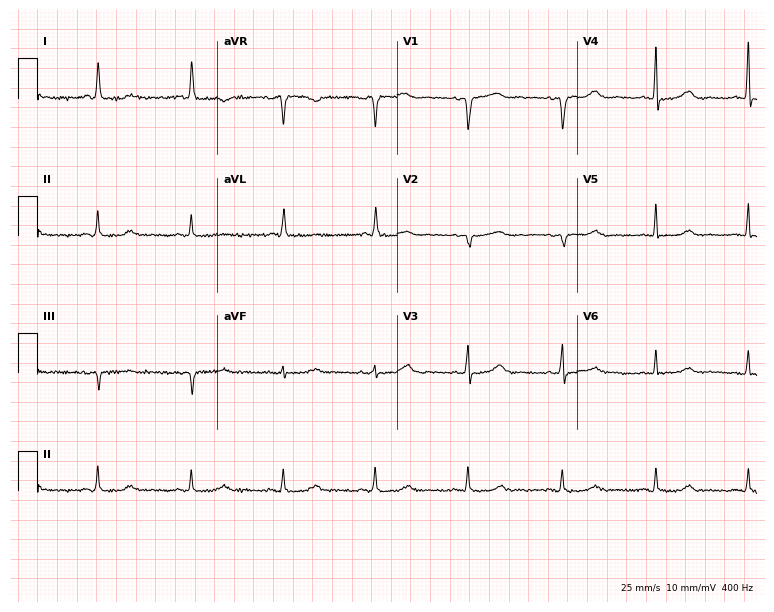
12-lead ECG from a female, 72 years old. No first-degree AV block, right bundle branch block, left bundle branch block, sinus bradycardia, atrial fibrillation or sinus tachycardia recorded for this tracing. Only these six findings were labelled.